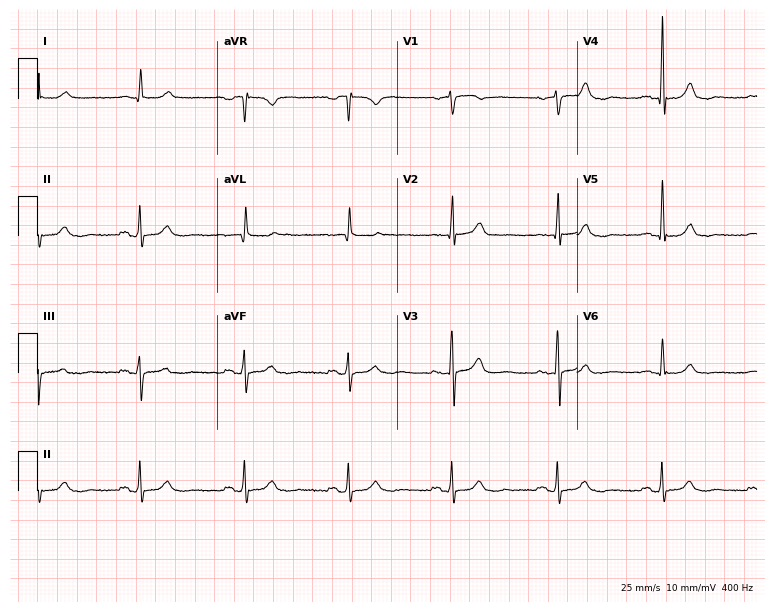
Electrocardiogram, a 68-year-old female patient. Of the six screened findings (first-degree AV block, right bundle branch block (RBBB), left bundle branch block (LBBB), sinus bradycardia, atrial fibrillation (AF), sinus tachycardia), none is recorded. Only these six findings were labelled.